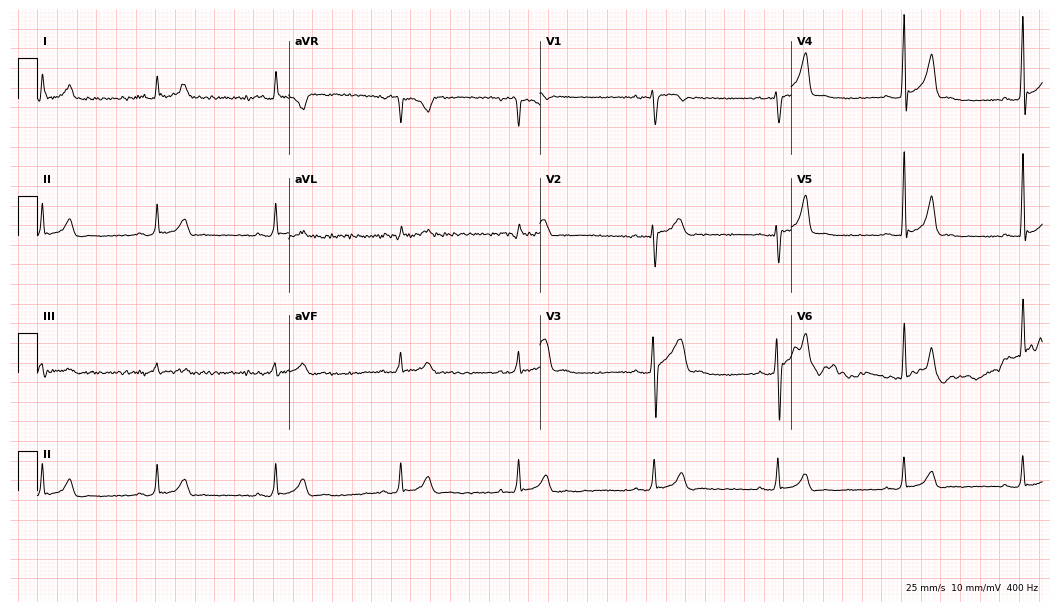
Resting 12-lead electrocardiogram (10.2-second recording at 400 Hz). Patient: a man, 28 years old. Read as a normal ECG.